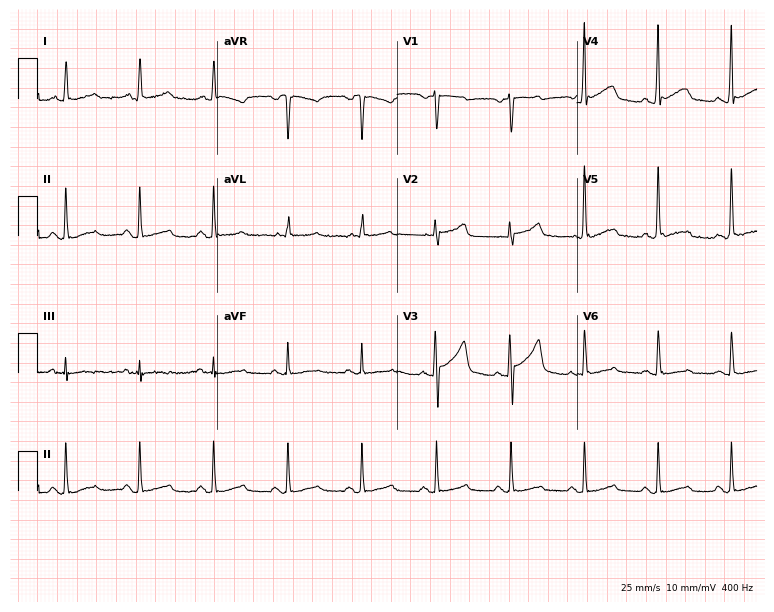
Standard 12-lead ECG recorded from a 69-year-old male patient (7.3-second recording at 400 Hz). None of these six findings is recorded: first-degree AV block, right bundle branch block, left bundle branch block, sinus bradycardia, atrial fibrillation, sinus tachycardia.